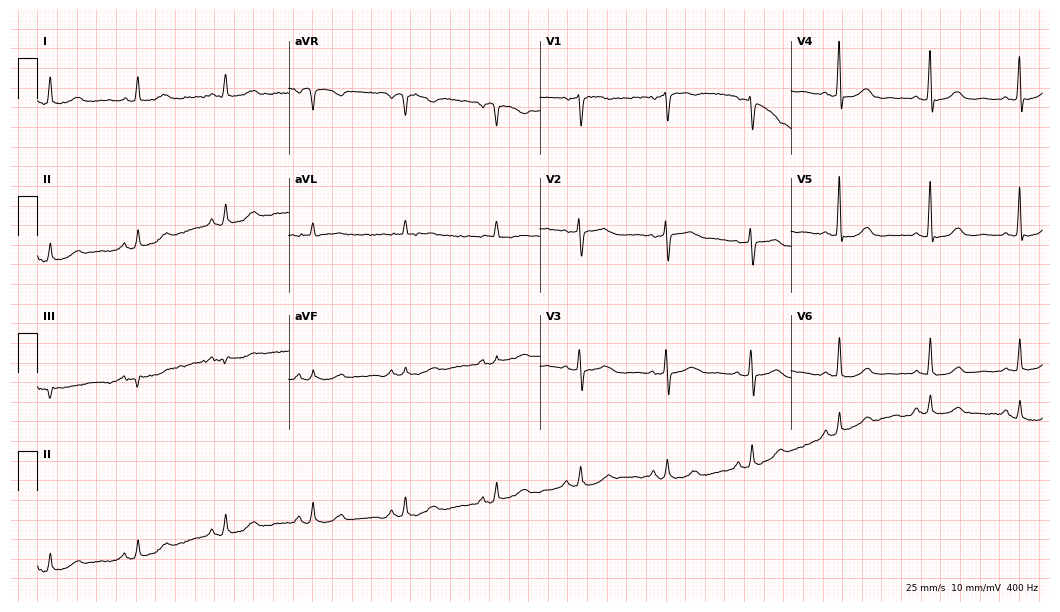
12-lead ECG from a female, 40 years old. Labelled as a normal ECG.